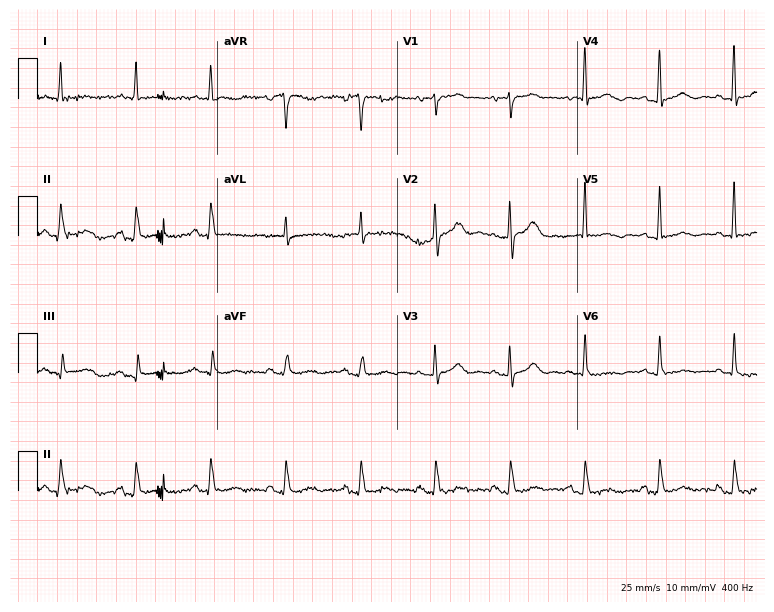
12-lead ECG from a female patient, 80 years old. Screened for six findings — first-degree AV block, right bundle branch block, left bundle branch block, sinus bradycardia, atrial fibrillation, sinus tachycardia — none is recorded.